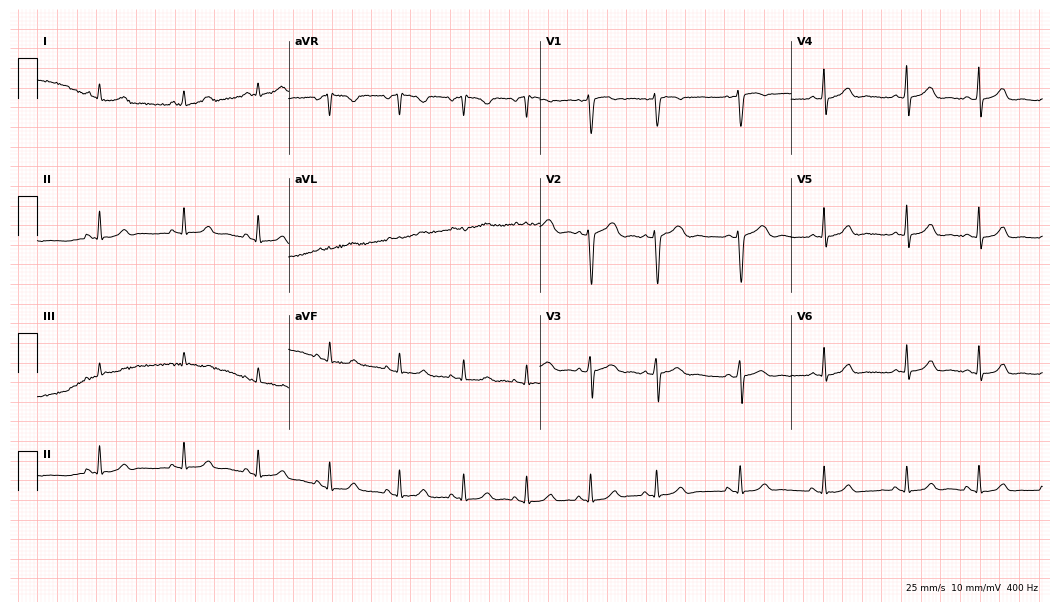
Resting 12-lead electrocardiogram. Patient: a 17-year-old female. None of these six findings is recorded: first-degree AV block, right bundle branch block, left bundle branch block, sinus bradycardia, atrial fibrillation, sinus tachycardia. Only these six findings were labelled.